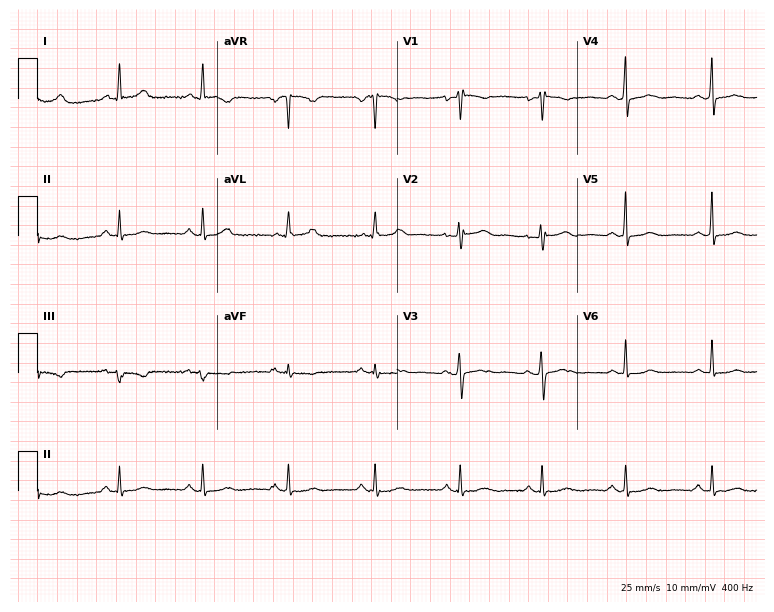
ECG (7.3-second recording at 400 Hz) — a woman, 48 years old. Screened for six findings — first-degree AV block, right bundle branch block (RBBB), left bundle branch block (LBBB), sinus bradycardia, atrial fibrillation (AF), sinus tachycardia — none is recorded.